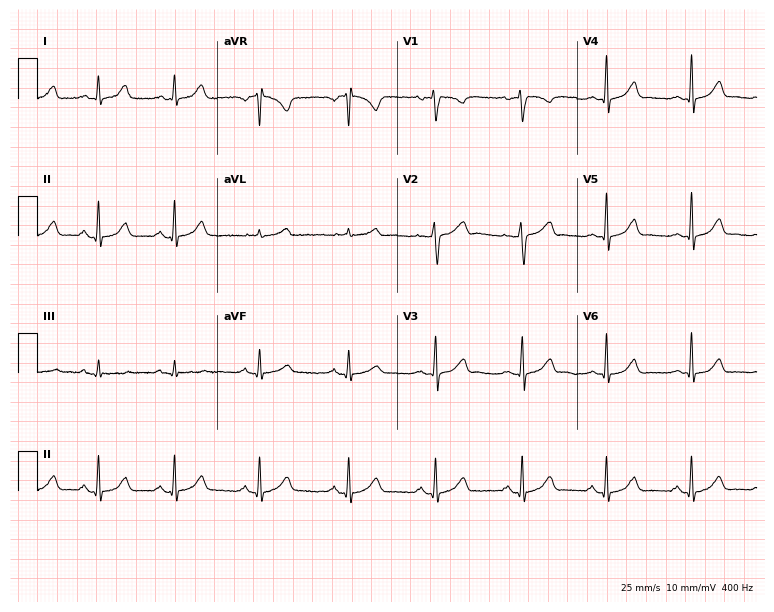
Electrocardiogram (7.3-second recording at 400 Hz), a female, 45 years old. Overall reading on record: normal ECG.